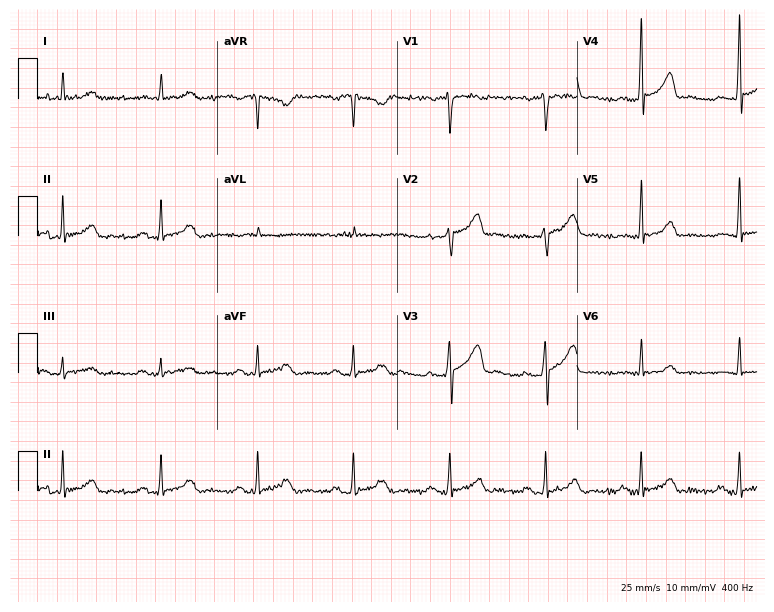
Electrocardiogram (7.3-second recording at 400 Hz), a 61-year-old man. Of the six screened findings (first-degree AV block, right bundle branch block (RBBB), left bundle branch block (LBBB), sinus bradycardia, atrial fibrillation (AF), sinus tachycardia), none is recorded.